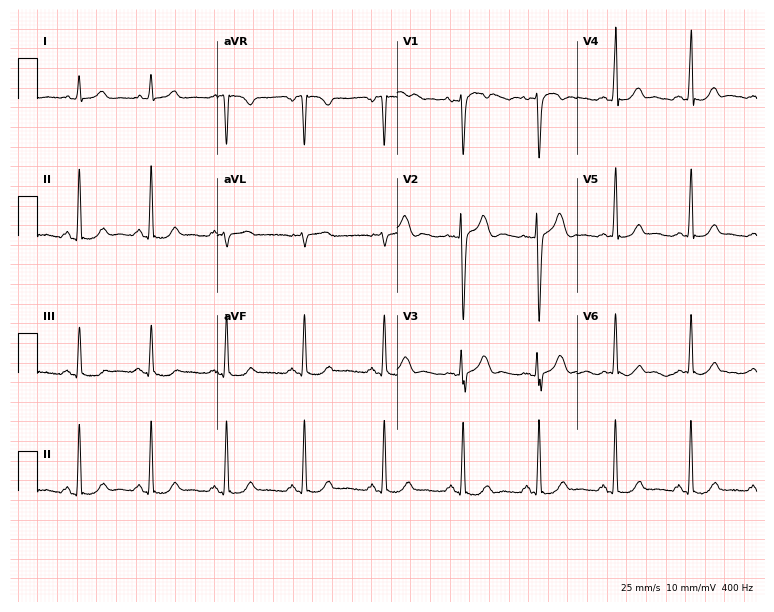
Resting 12-lead electrocardiogram (7.3-second recording at 400 Hz). Patient: a 42-year-old female. None of these six findings is recorded: first-degree AV block, right bundle branch block (RBBB), left bundle branch block (LBBB), sinus bradycardia, atrial fibrillation (AF), sinus tachycardia. Other findings, if any, are not listed.